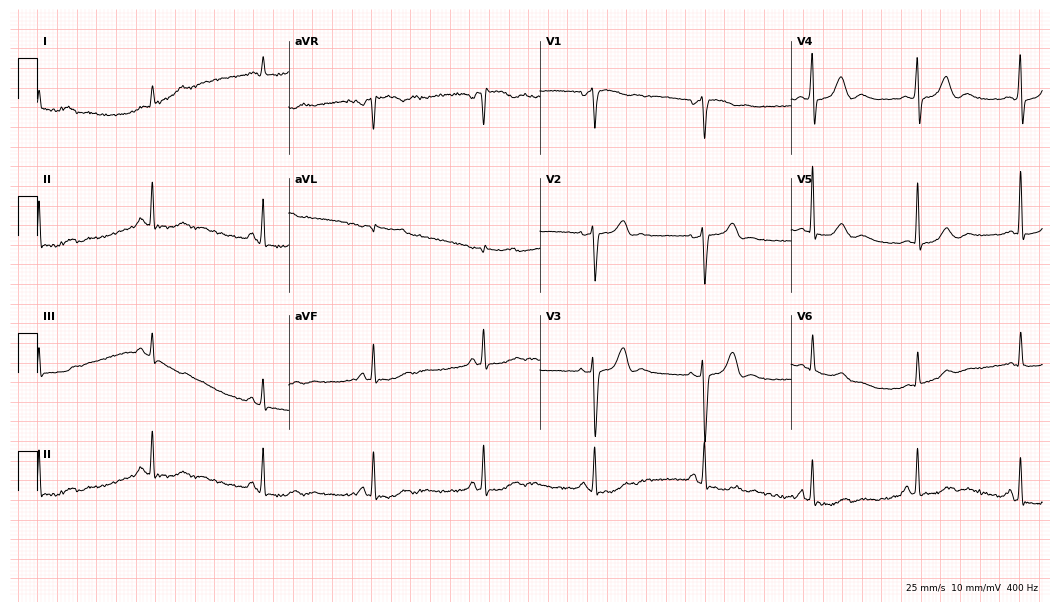
Standard 12-lead ECG recorded from a male patient, 72 years old (10.2-second recording at 400 Hz). Read as a normal ECG.